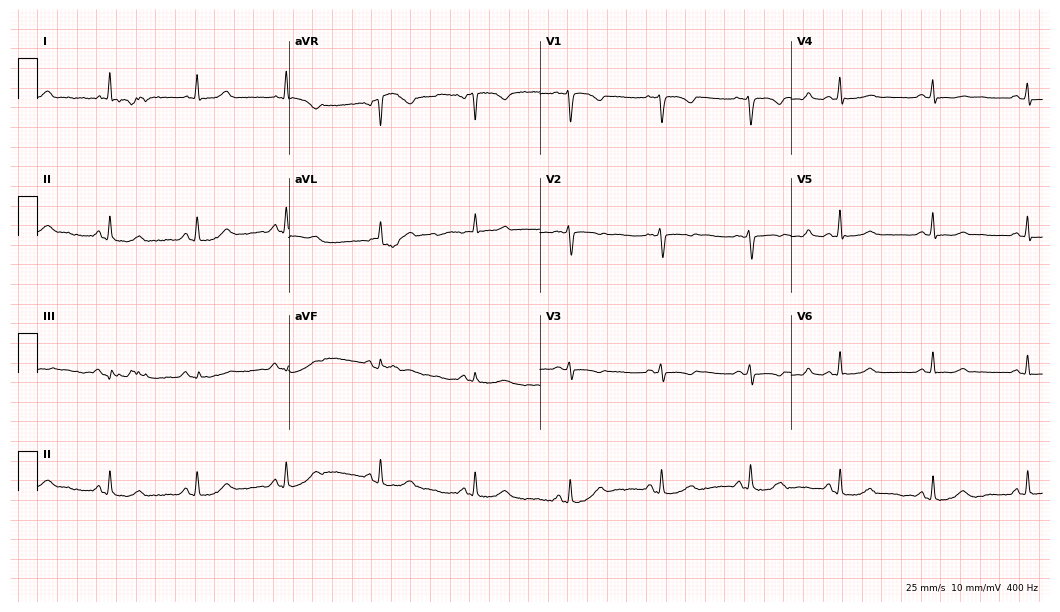
Resting 12-lead electrocardiogram (10.2-second recording at 400 Hz). Patient: a 34-year-old female. None of these six findings is recorded: first-degree AV block, right bundle branch block, left bundle branch block, sinus bradycardia, atrial fibrillation, sinus tachycardia.